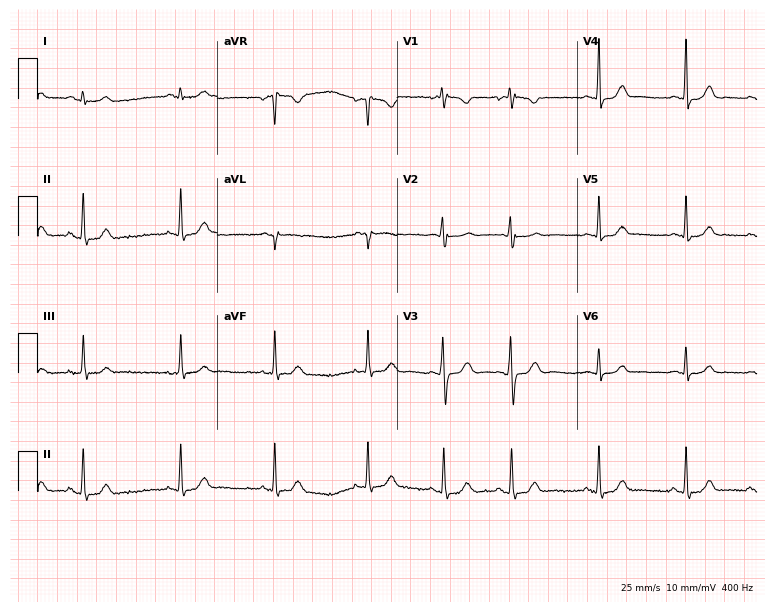
Standard 12-lead ECG recorded from an 18-year-old woman. Read as a normal ECG.